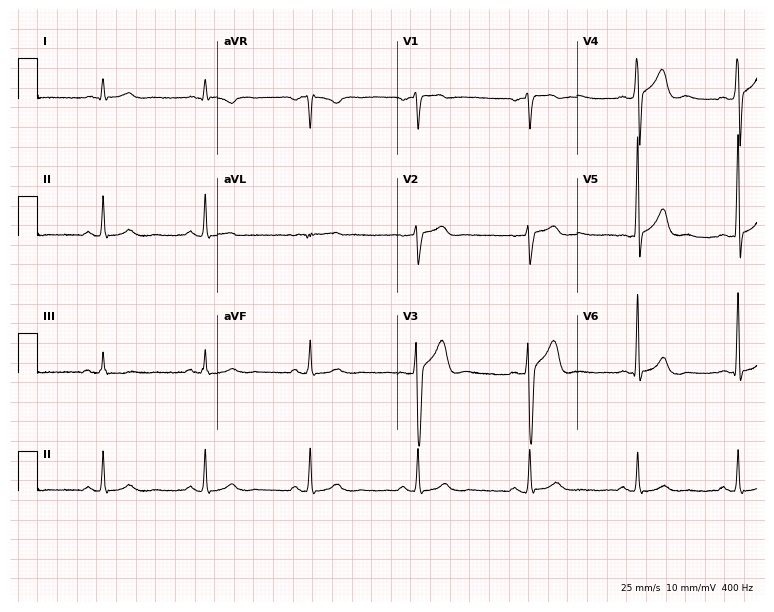
12-lead ECG (7.3-second recording at 400 Hz) from a 46-year-old male patient. Labelled as a normal ECG.